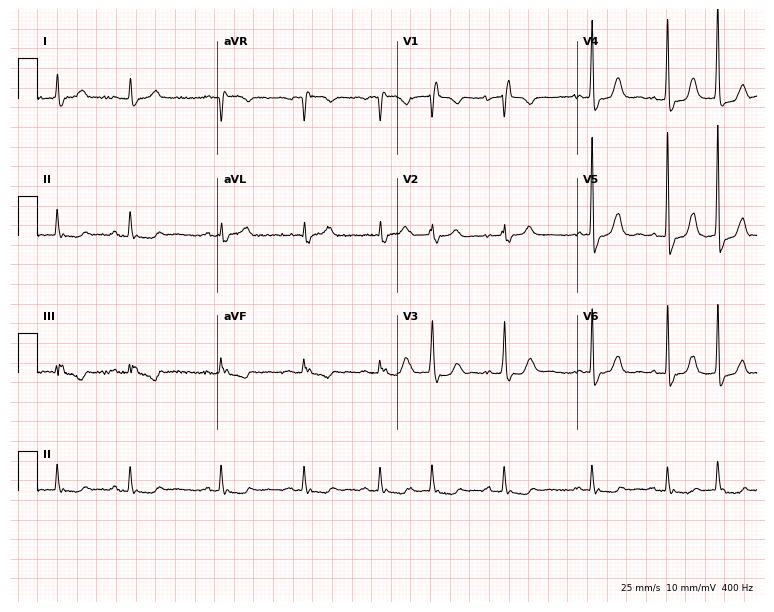
Standard 12-lead ECG recorded from a female, 82 years old (7.3-second recording at 400 Hz). The tracing shows right bundle branch block (RBBB).